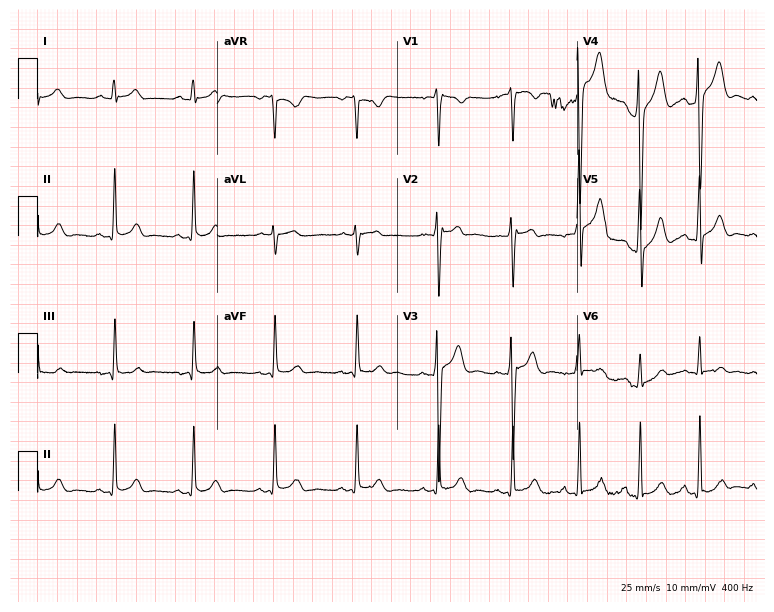
Resting 12-lead electrocardiogram (7.3-second recording at 400 Hz). Patient: a male, 31 years old. None of these six findings is recorded: first-degree AV block, right bundle branch block, left bundle branch block, sinus bradycardia, atrial fibrillation, sinus tachycardia. Only these six findings were labelled.